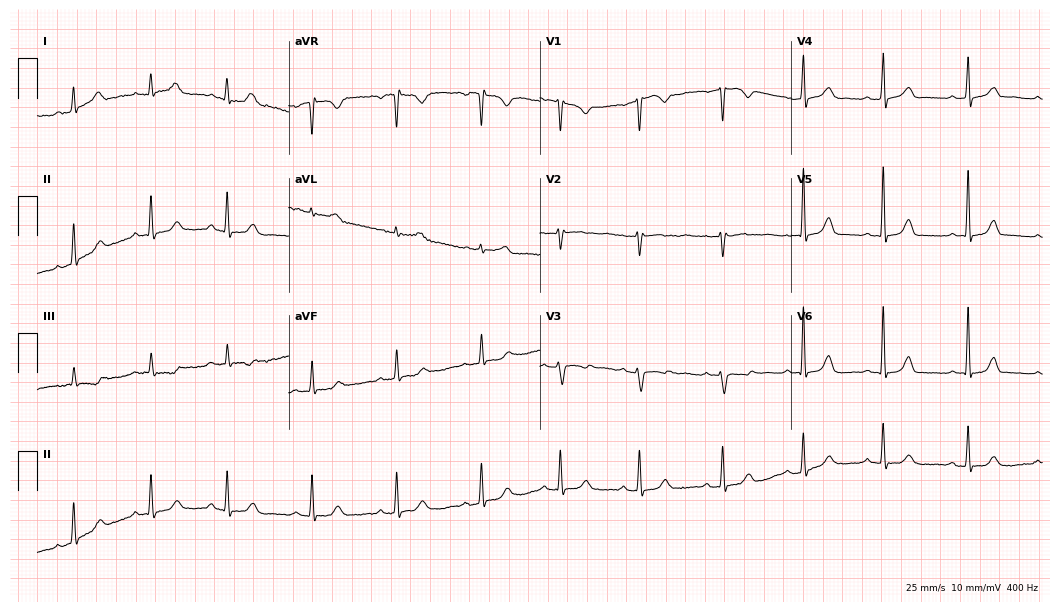
ECG — a female patient, 24 years old. Screened for six findings — first-degree AV block, right bundle branch block, left bundle branch block, sinus bradycardia, atrial fibrillation, sinus tachycardia — none is recorded. Only these six findings were labelled.